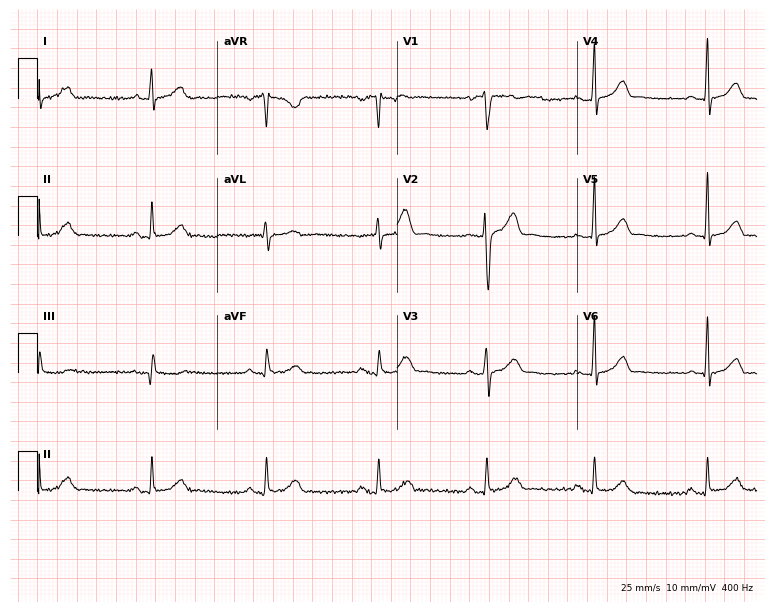
Standard 12-lead ECG recorded from a 32-year-old male. None of these six findings is recorded: first-degree AV block, right bundle branch block, left bundle branch block, sinus bradycardia, atrial fibrillation, sinus tachycardia.